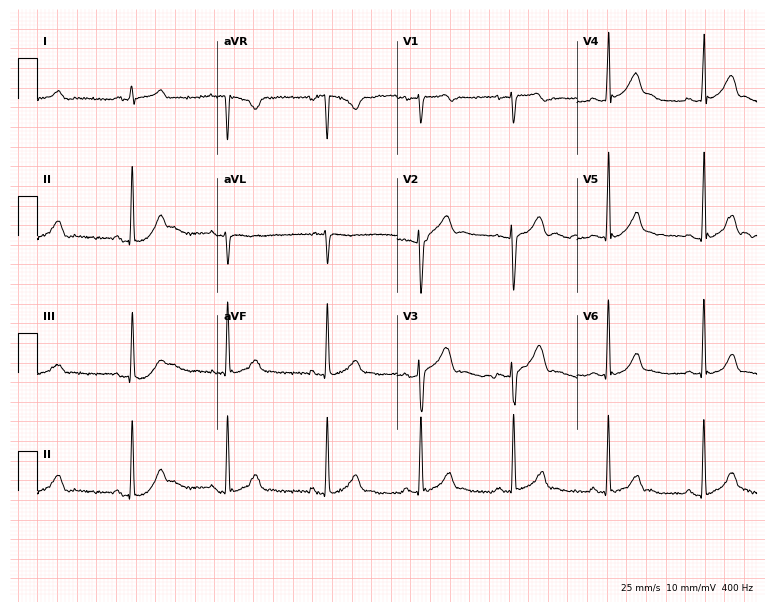
Electrocardiogram, a female patient, 27 years old. Of the six screened findings (first-degree AV block, right bundle branch block (RBBB), left bundle branch block (LBBB), sinus bradycardia, atrial fibrillation (AF), sinus tachycardia), none is recorded.